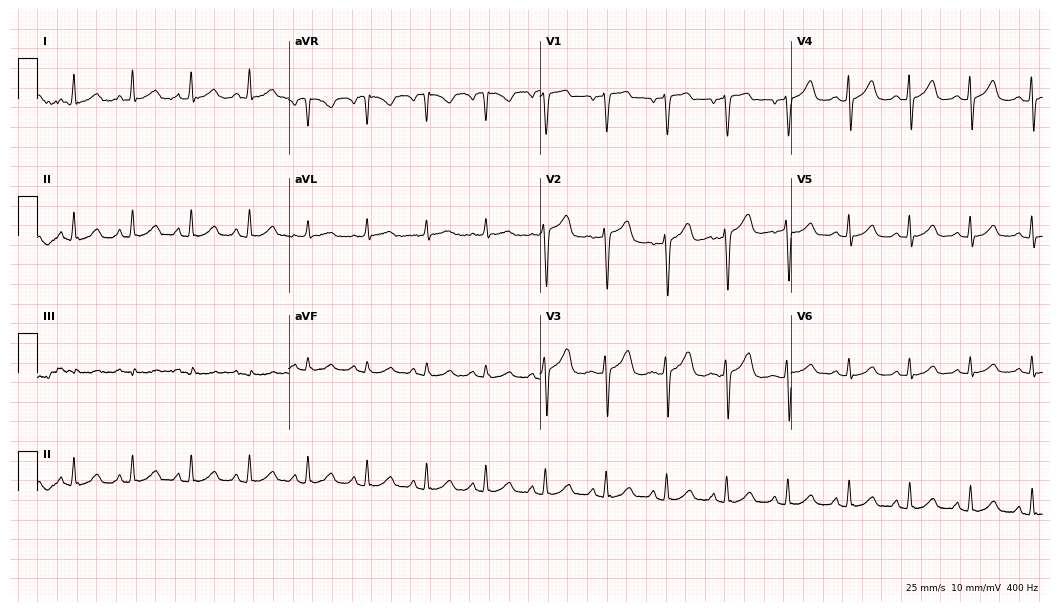
ECG (10.2-second recording at 400 Hz) — a 65-year-old female patient. Labelled as a normal ECG.